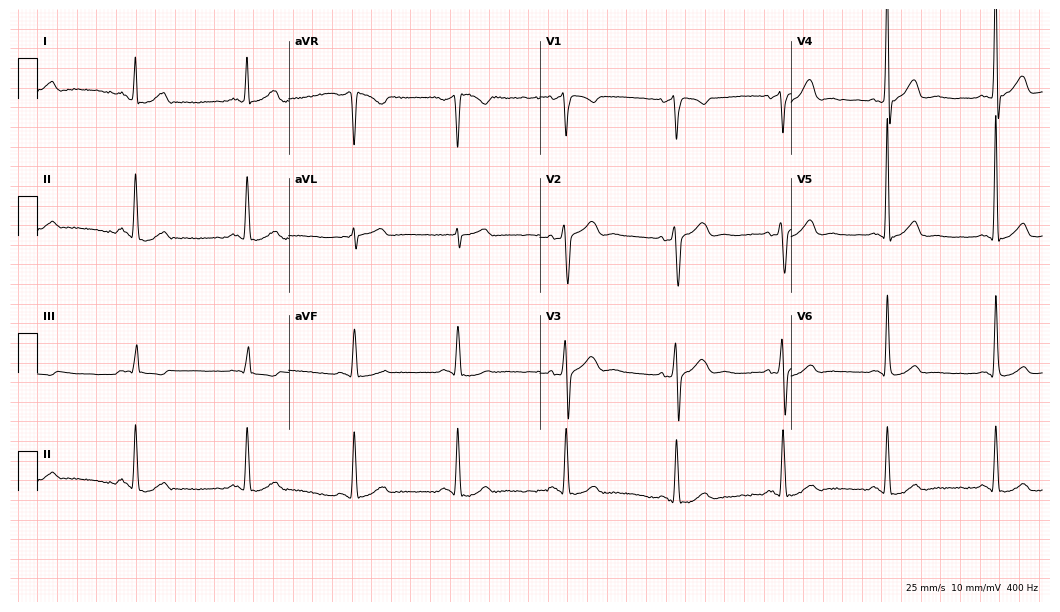
ECG — a male patient, 47 years old. Labelled as a normal ECG.